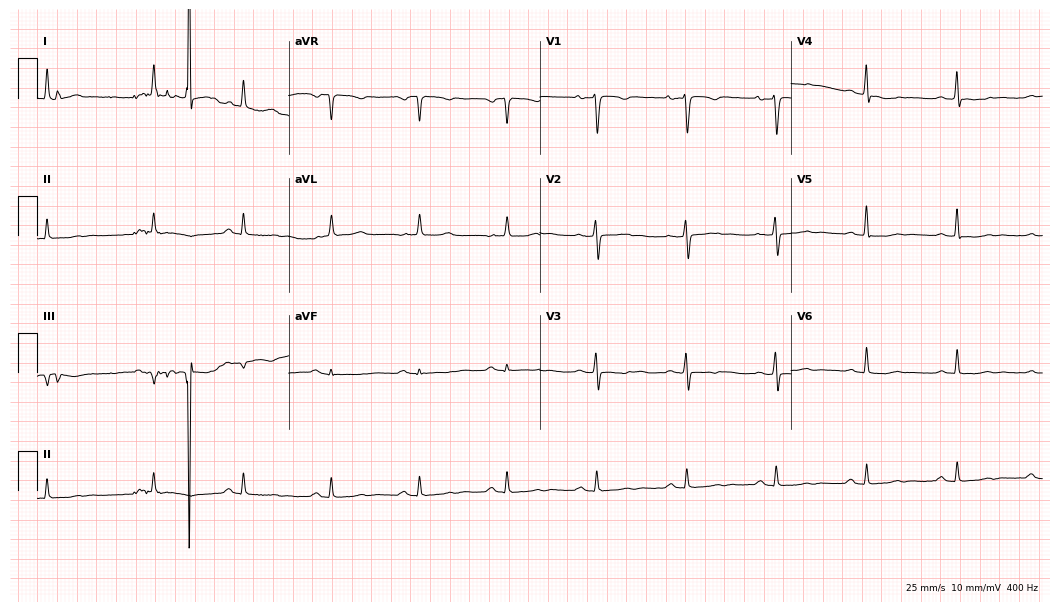
Resting 12-lead electrocardiogram. Patient: a female, 45 years old. None of these six findings is recorded: first-degree AV block, right bundle branch block, left bundle branch block, sinus bradycardia, atrial fibrillation, sinus tachycardia. Findings outside these six are not listed.